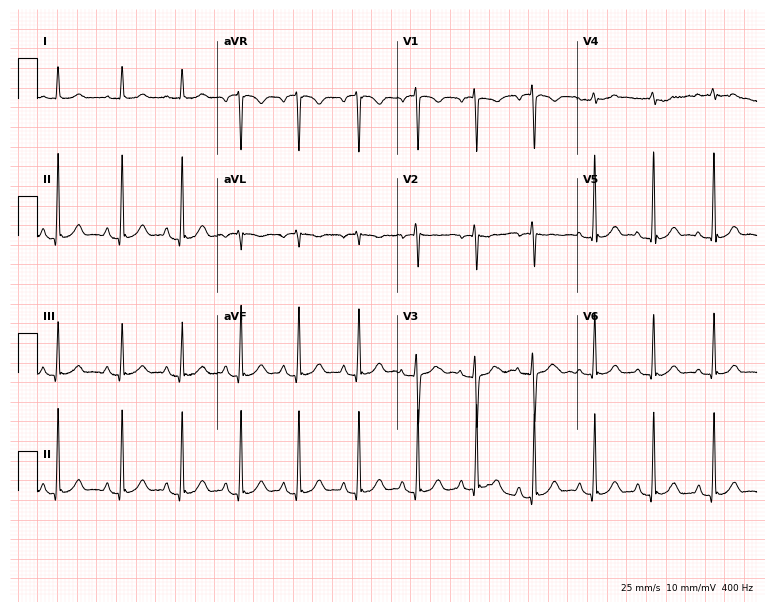
Electrocardiogram, a female, 22 years old. Overall reading on record: normal ECG.